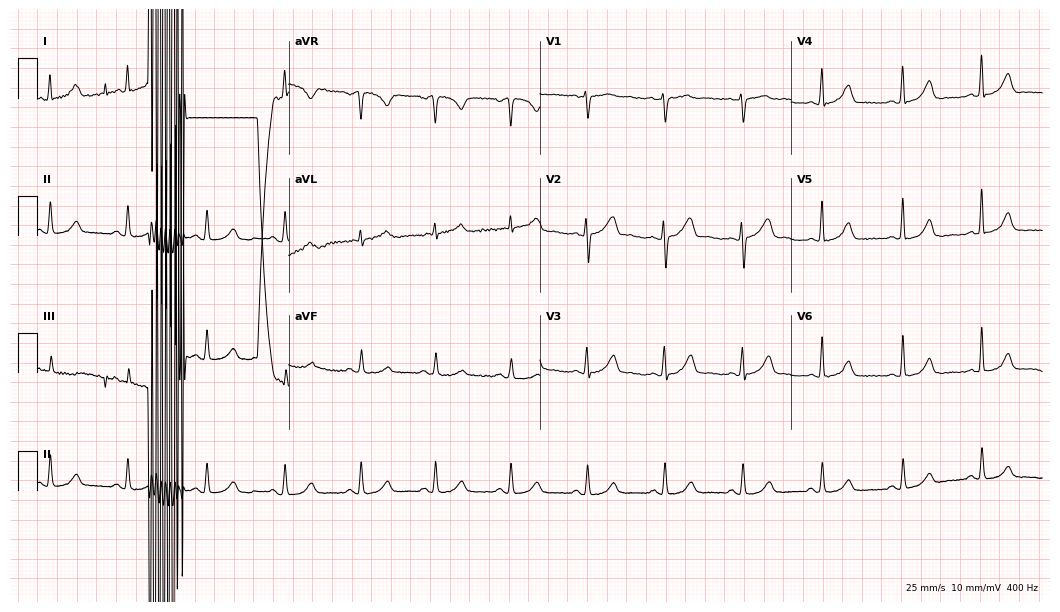
Resting 12-lead electrocardiogram. Patient: a woman, 43 years old. None of these six findings is recorded: first-degree AV block, right bundle branch block (RBBB), left bundle branch block (LBBB), sinus bradycardia, atrial fibrillation (AF), sinus tachycardia. Findings outside these six are not listed.